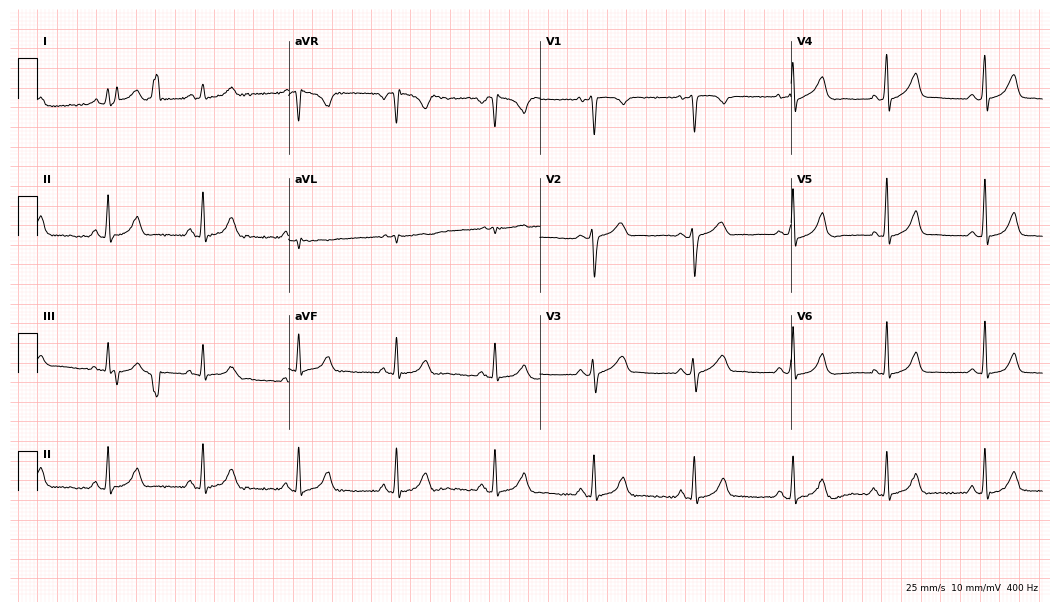
12-lead ECG (10.2-second recording at 400 Hz) from a 38-year-old female. Labelled as a normal ECG.